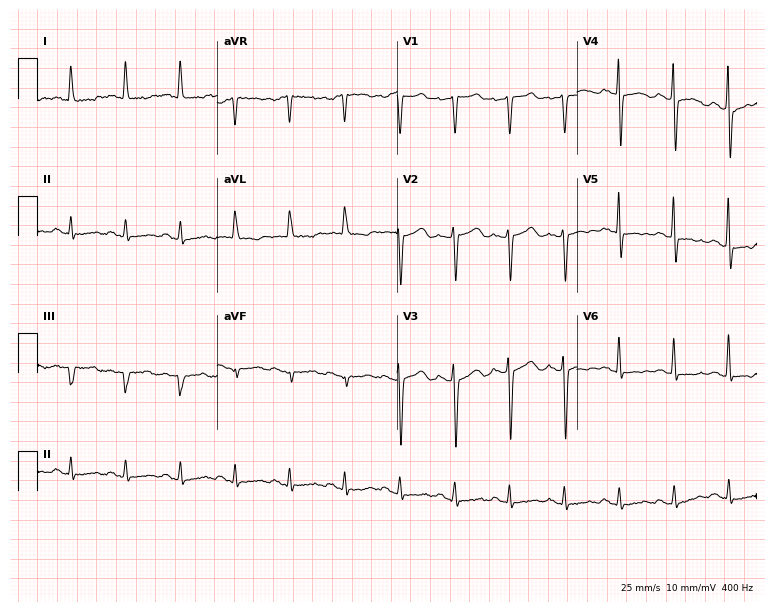
Standard 12-lead ECG recorded from a woman, 80 years old. None of these six findings is recorded: first-degree AV block, right bundle branch block (RBBB), left bundle branch block (LBBB), sinus bradycardia, atrial fibrillation (AF), sinus tachycardia. Other findings, if any, are not listed.